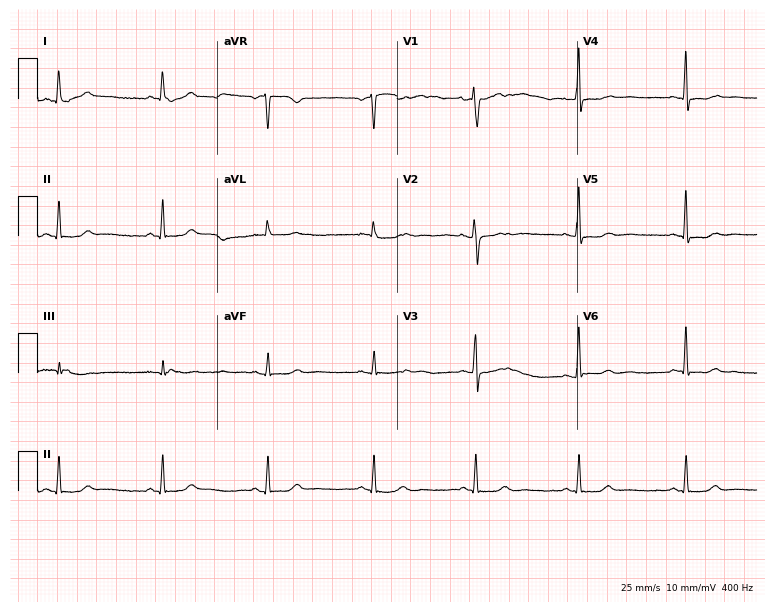
12-lead ECG from a female patient, 42 years old (7.3-second recording at 400 Hz). No first-degree AV block, right bundle branch block, left bundle branch block, sinus bradycardia, atrial fibrillation or sinus tachycardia recorded for this tracing. Findings outside these six are not listed.